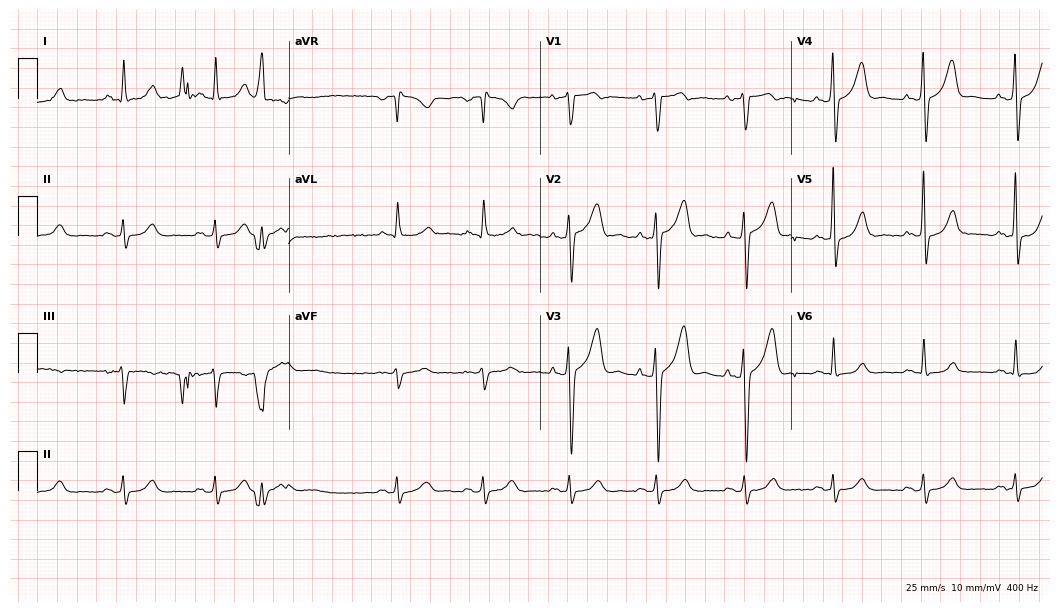
12-lead ECG from a 66-year-old man. Screened for six findings — first-degree AV block, right bundle branch block, left bundle branch block, sinus bradycardia, atrial fibrillation, sinus tachycardia — none is recorded. Findings outside these six are not listed.